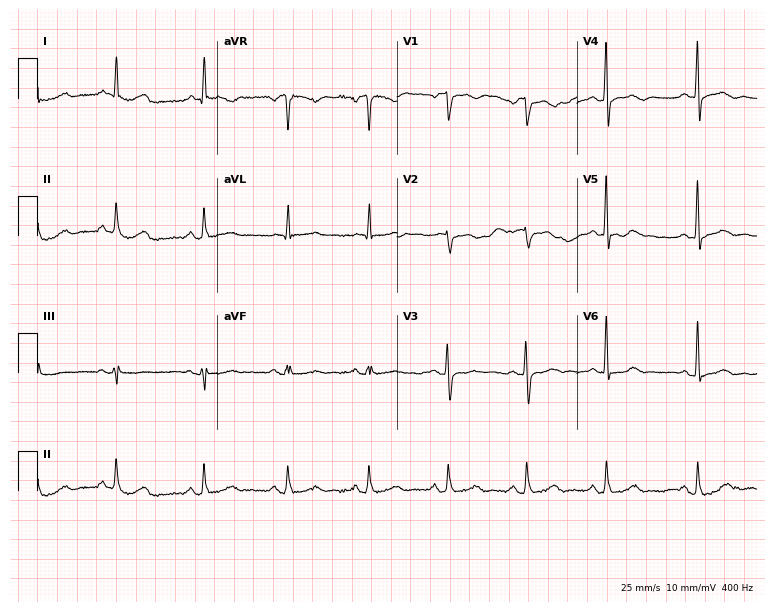
Resting 12-lead electrocardiogram (7.3-second recording at 400 Hz). Patient: a 58-year-old man. None of these six findings is recorded: first-degree AV block, right bundle branch block, left bundle branch block, sinus bradycardia, atrial fibrillation, sinus tachycardia. Only these six findings were labelled.